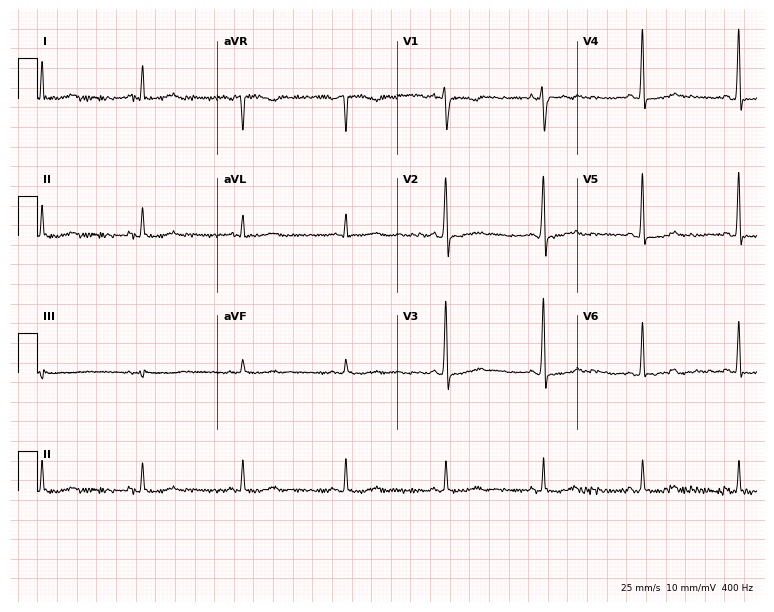
ECG — a 40-year-old man. Labelled as a normal ECG.